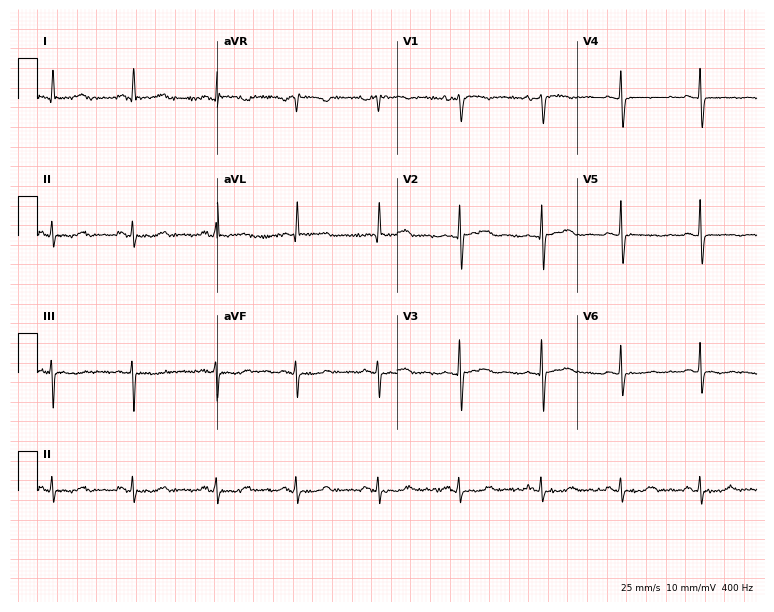
Standard 12-lead ECG recorded from a 67-year-old female patient (7.3-second recording at 400 Hz). Read as a normal ECG.